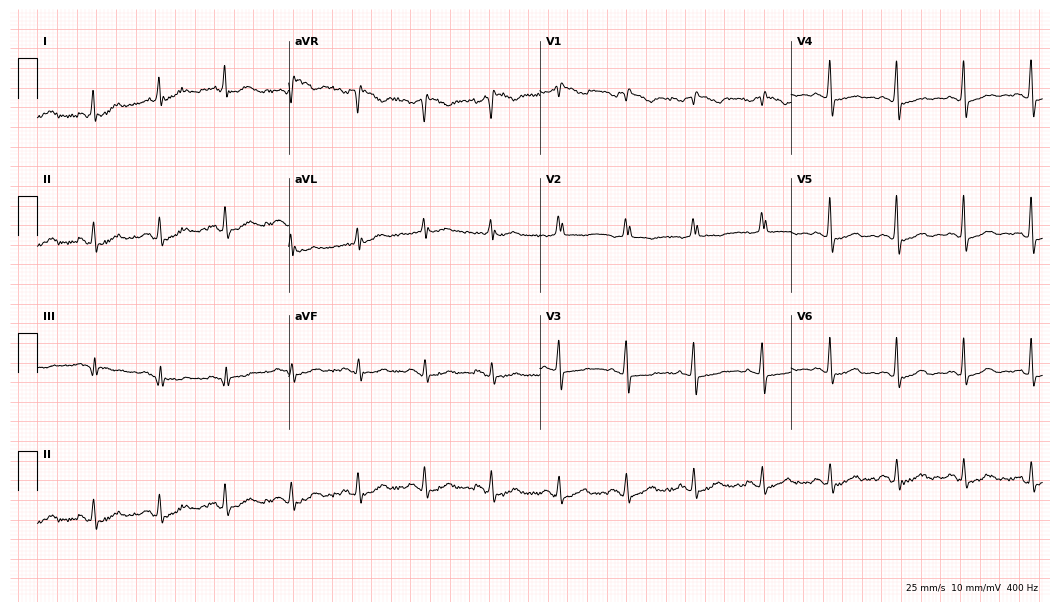
12-lead ECG from a 60-year-old woman. No first-degree AV block, right bundle branch block, left bundle branch block, sinus bradycardia, atrial fibrillation or sinus tachycardia recorded for this tracing. Findings outside these six are not listed.